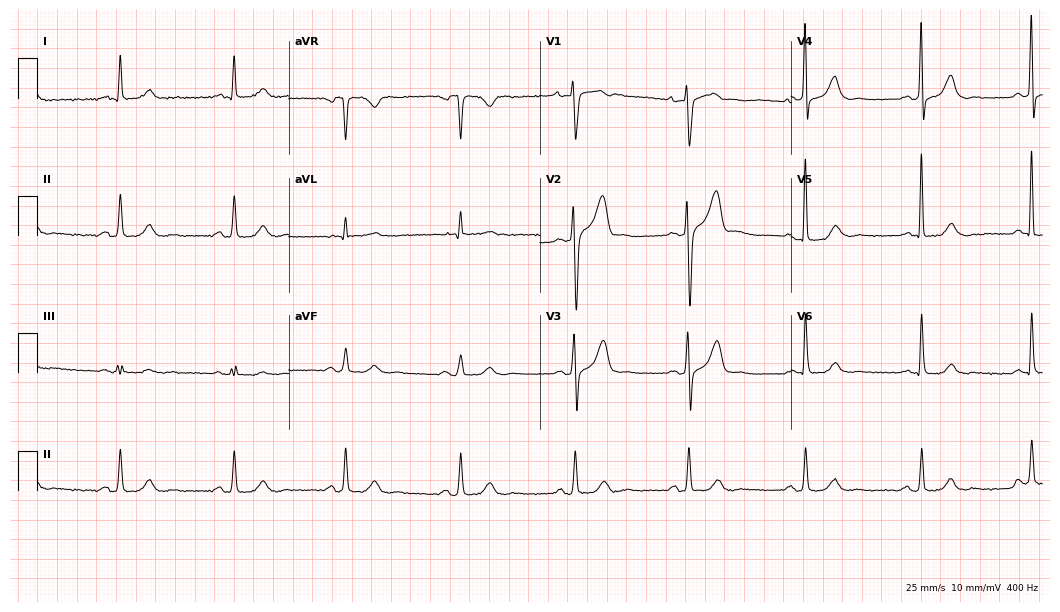
Resting 12-lead electrocardiogram (10.2-second recording at 400 Hz). Patient: a 58-year-old male. Read as a normal ECG.